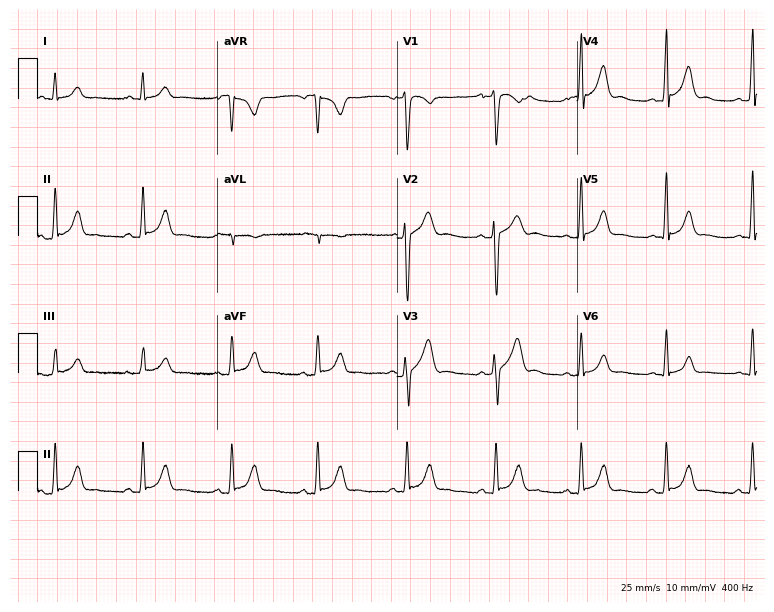
Electrocardiogram (7.3-second recording at 400 Hz), a male, 19 years old. Overall reading on record: normal ECG.